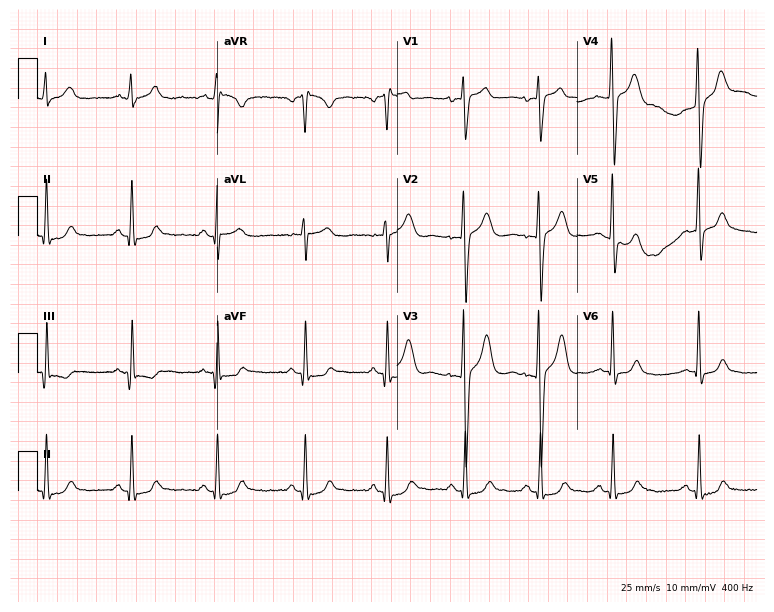
12-lead ECG from a 22-year-old male patient (7.3-second recording at 400 Hz). Recorded interpretation: within normal limits.